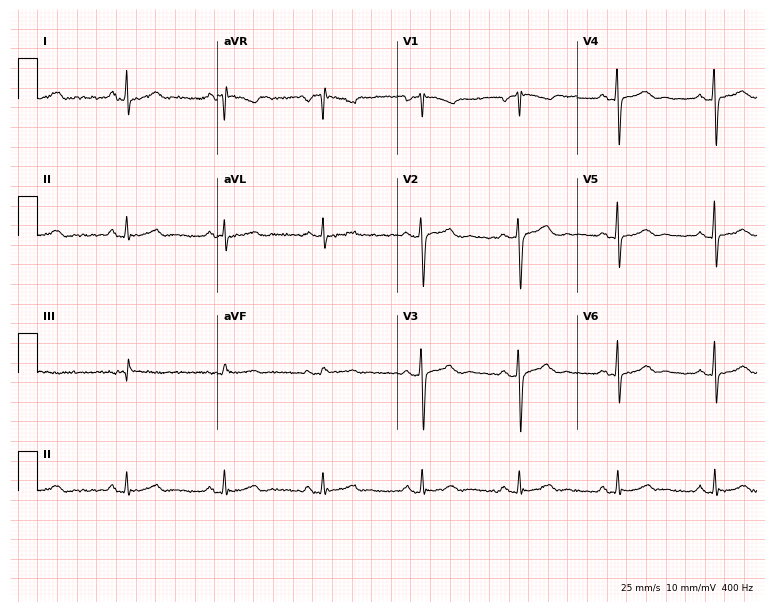
12-lead ECG from a man, 52 years old. No first-degree AV block, right bundle branch block (RBBB), left bundle branch block (LBBB), sinus bradycardia, atrial fibrillation (AF) or sinus tachycardia recorded for this tracing.